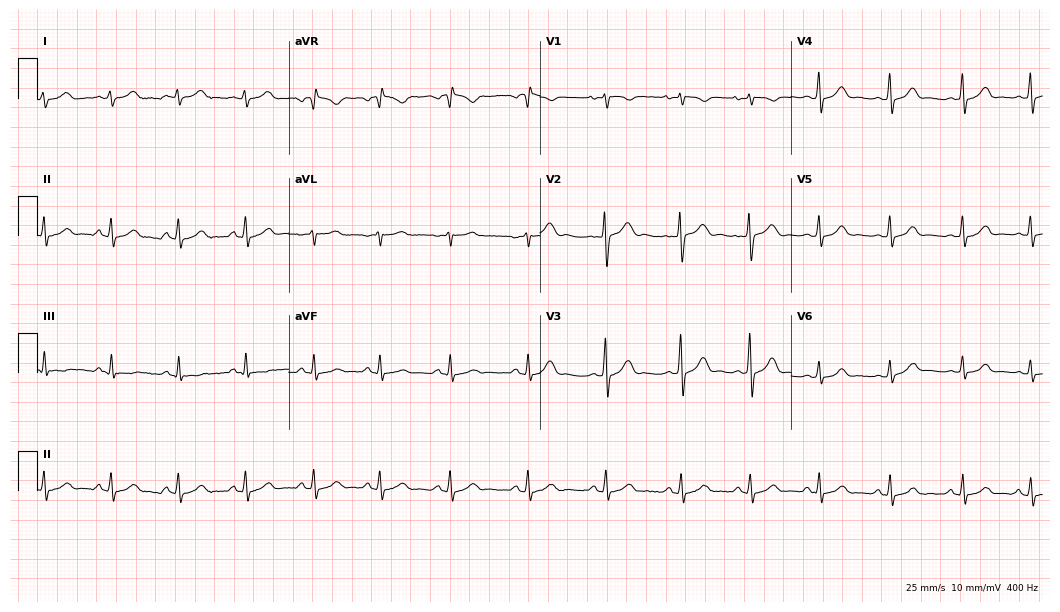
Resting 12-lead electrocardiogram (10.2-second recording at 400 Hz). Patient: a 19-year-old female. None of these six findings is recorded: first-degree AV block, right bundle branch block, left bundle branch block, sinus bradycardia, atrial fibrillation, sinus tachycardia.